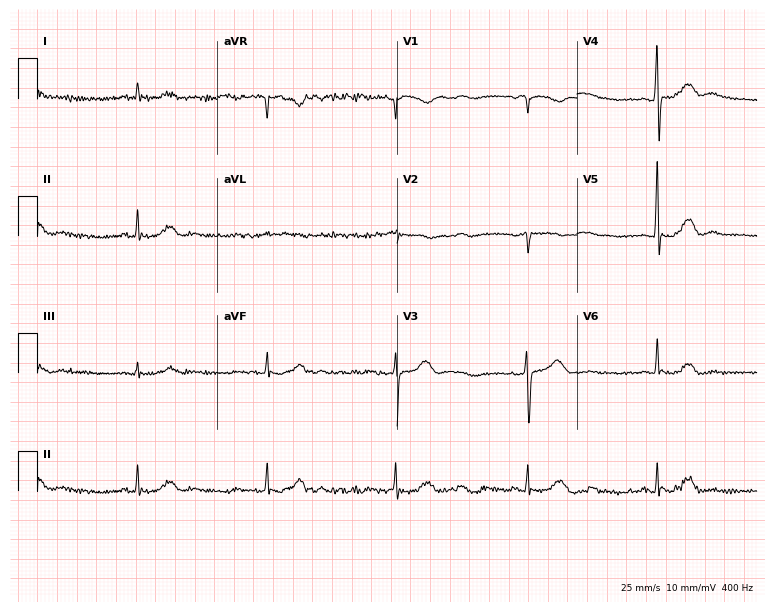
12-lead ECG (7.3-second recording at 400 Hz) from a man, 64 years old. Screened for six findings — first-degree AV block, right bundle branch block, left bundle branch block, sinus bradycardia, atrial fibrillation, sinus tachycardia — none is recorded.